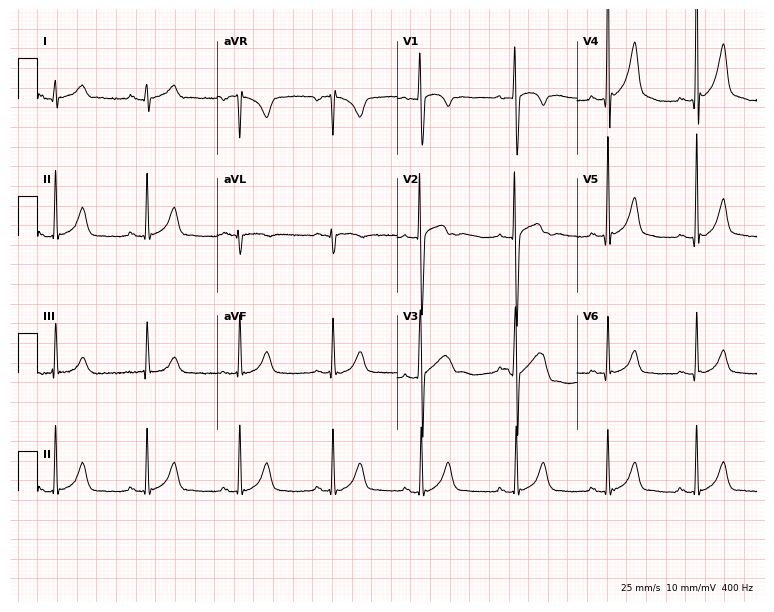
12-lead ECG from a 19-year-old man (7.3-second recording at 400 Hz). Recorded interpretation: within normal limits.